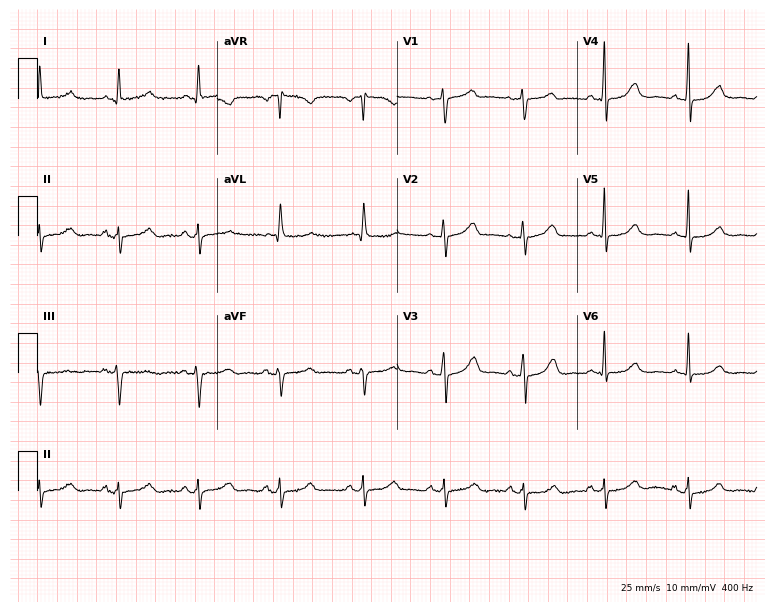
12-lead ECG from a female patient, 50 years old. No first-degree AV block, right bundle branch block, left bundle branch block, sinus bradycardia, atrial fibrillation or sinus tachycardia recorded for this tracing. Other findings, if any, are not listed.